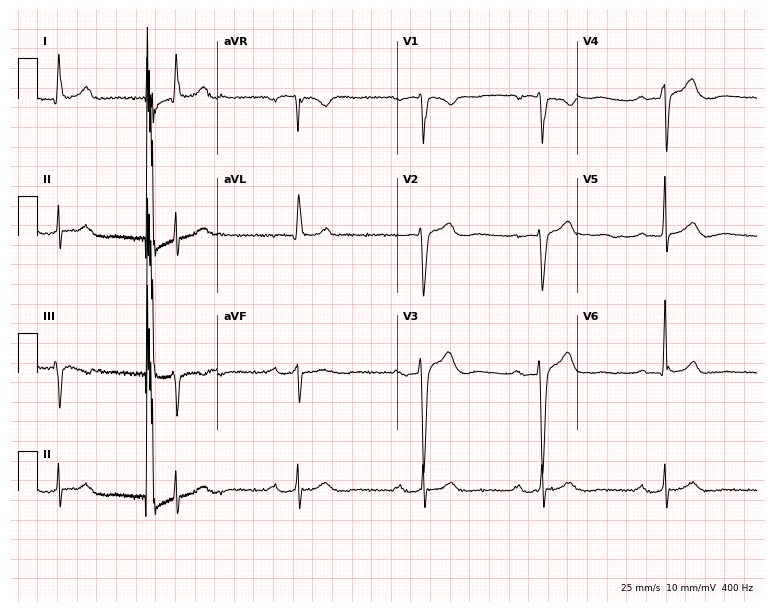
12-lead ECG from a man, 64 years old. Screened for six findings — first-degree AV block, right bundle branch block (RBBB), left bundle branch block (LBBB), sinus bradycardia, atrial fibrillation (AF), sinus tachycardia — none is recorded.